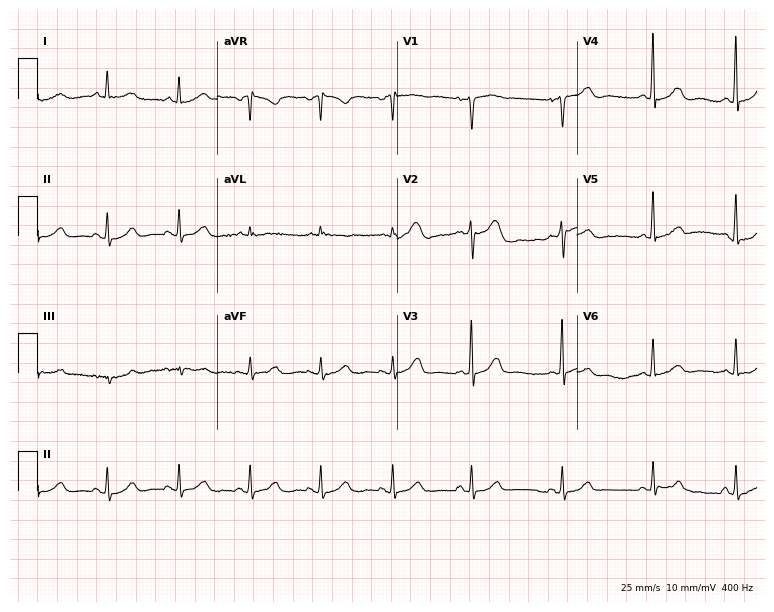
Resting 12-lead electrocardiogram. Patient: a 49-year-old woman. None of these six findings is recorded: first-degree AV block, right bundle branch block, left bundle branch block, sinus bradycardia, atrial fibrillation, sinus tachycardia. Other findings, if any, are not listed.